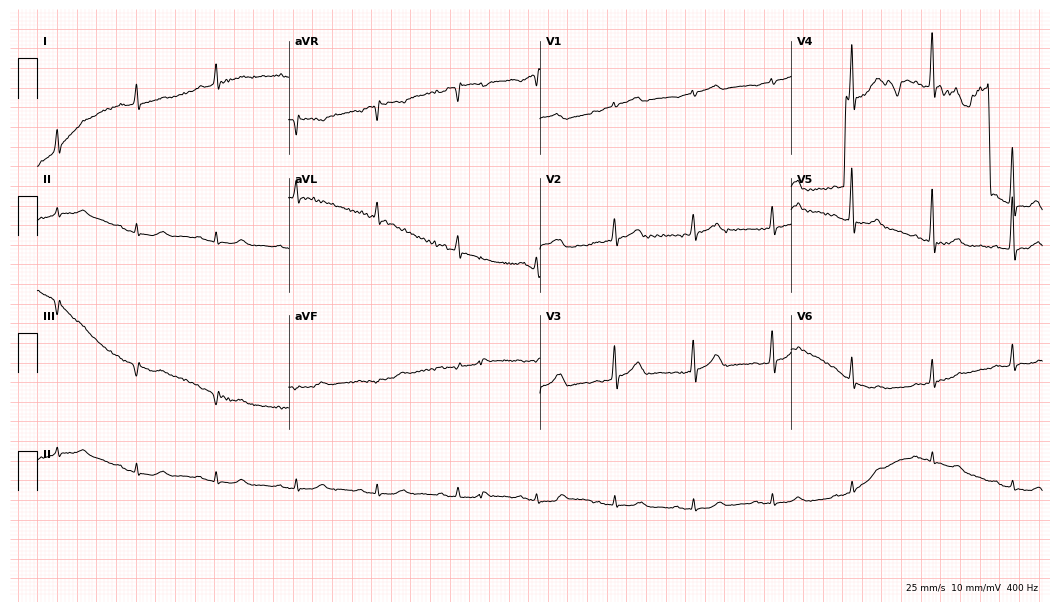
Standard 12-lead ECG recorded from a 64-year-old male patient (10.2-second recording at 400 Hz). None of these six findings is recorded: first-degree AV block, right bundle branch block, left bundle branch block, sinus bradycardia, atrial fibrillation, sinus tachycardia.